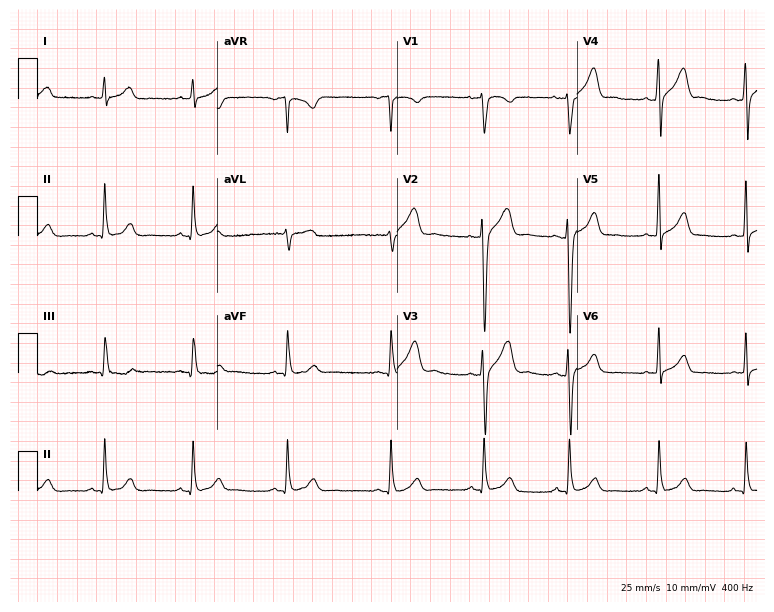
12-lead ECG (7.3-second recording at 400 Hz) from a male patient, 30 years old. Screened for six findings — first-degree AV block, right bundle branch block, left bundle branch block, sinus bradycardia, atrial fibrillation, sinus tachycardia — none is recorded. Findings outside these six are not listed.